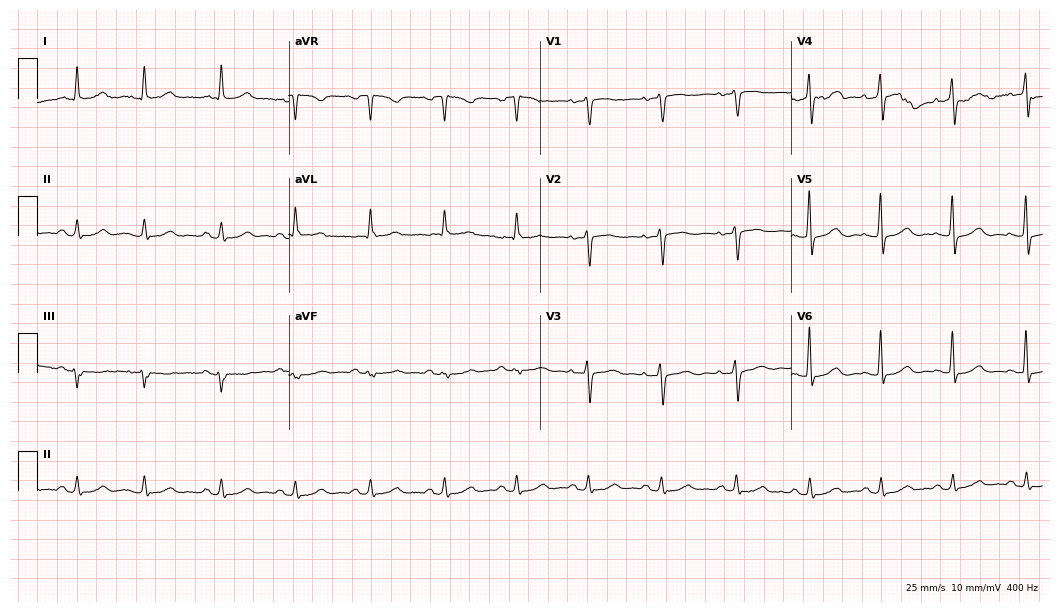
Electrocardiogram (10.2-second recording at 400 Hz), an 85-year-old female patient. Overall reading on record: normal ECG.